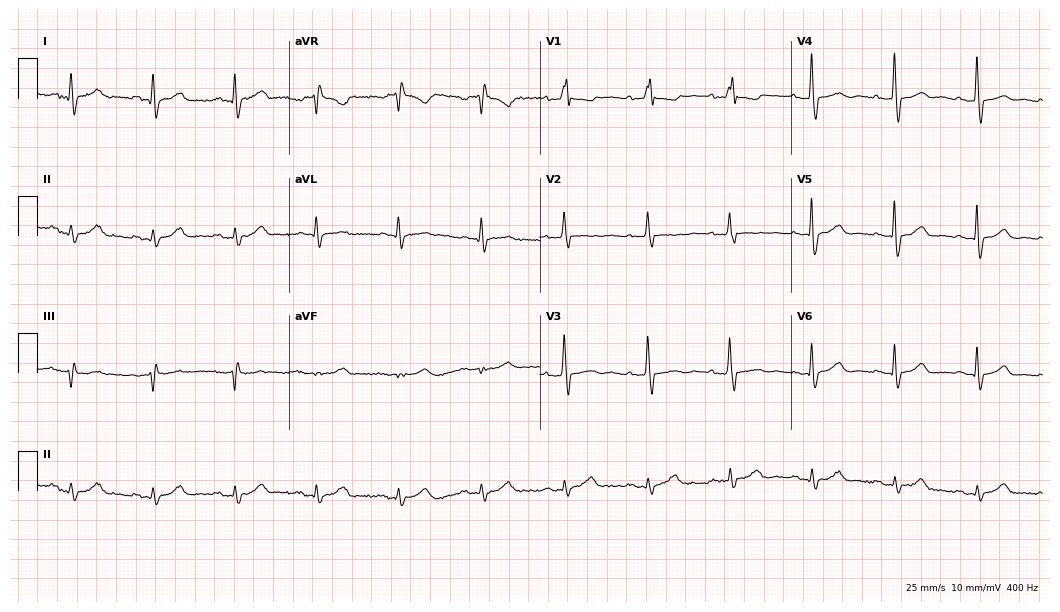
12-lead ECG (10.2-second recording at 400 Hz) from a female patient, 66 years old. Labelled as a normal ECG.